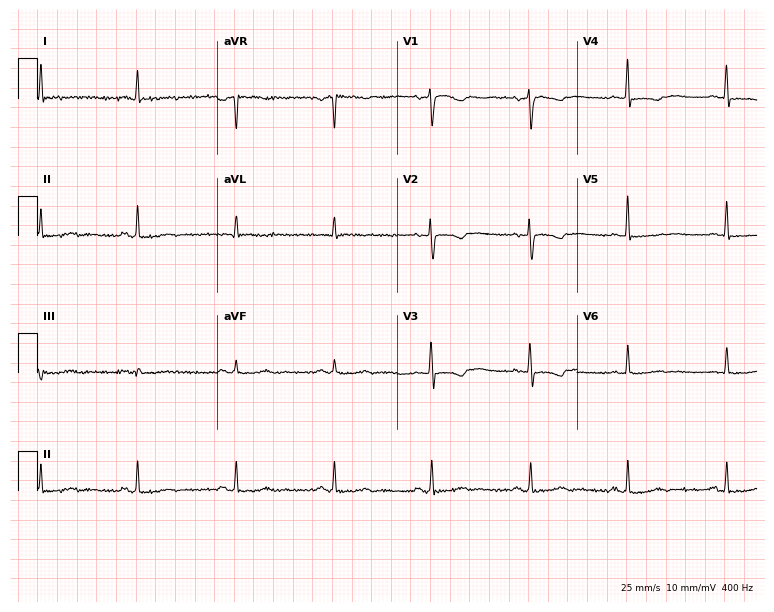
12-lead ECG from a 58-year-old female patient (7.3-second recording at 400 Hz). No first-degree AV block, right bundle branch block (RBBB), left bundle branch block (LBBB), sinus bradycardia, atrial fibrillation (AF) or sinus tachycardia recorded for this tracing.